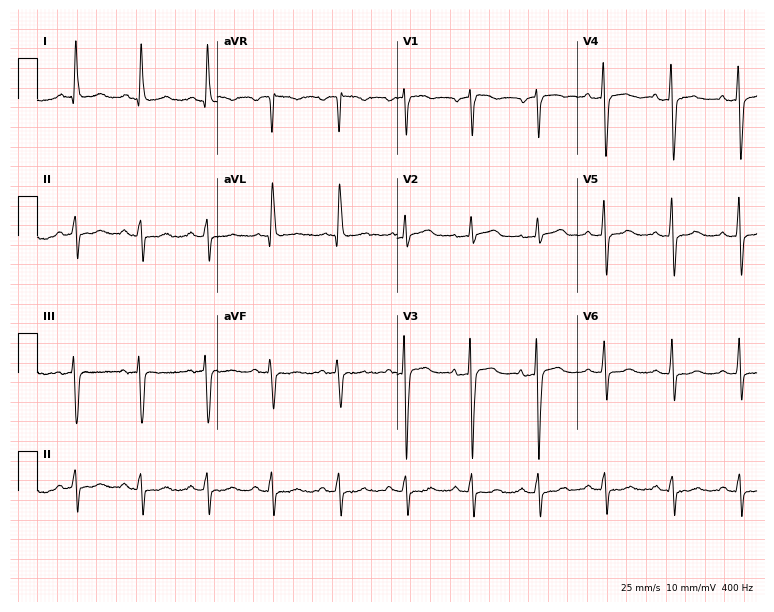
Standard 12-lead ECG recorded from a 76-year-old female. Read as a normal ECG.